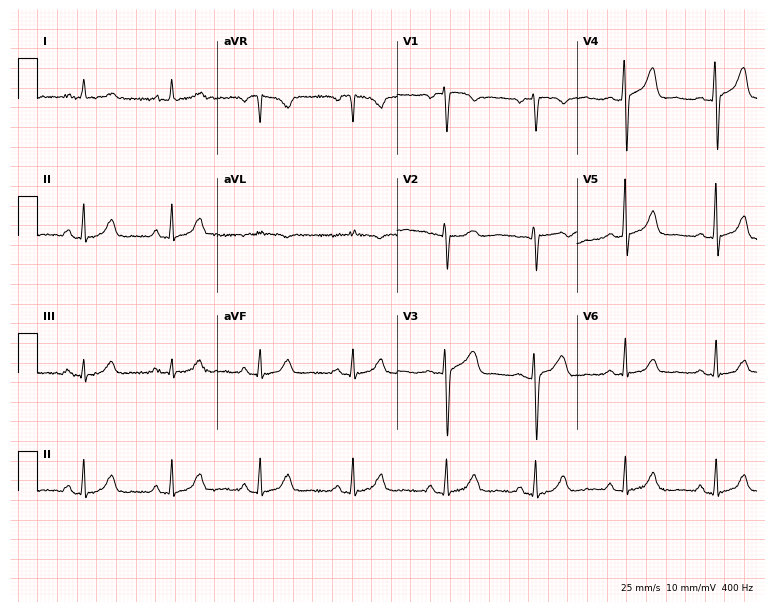
Electrocardiogram (7.3-second recording at 400 Hz), a female, 55 years old. Overall reading on record: normal ECG.